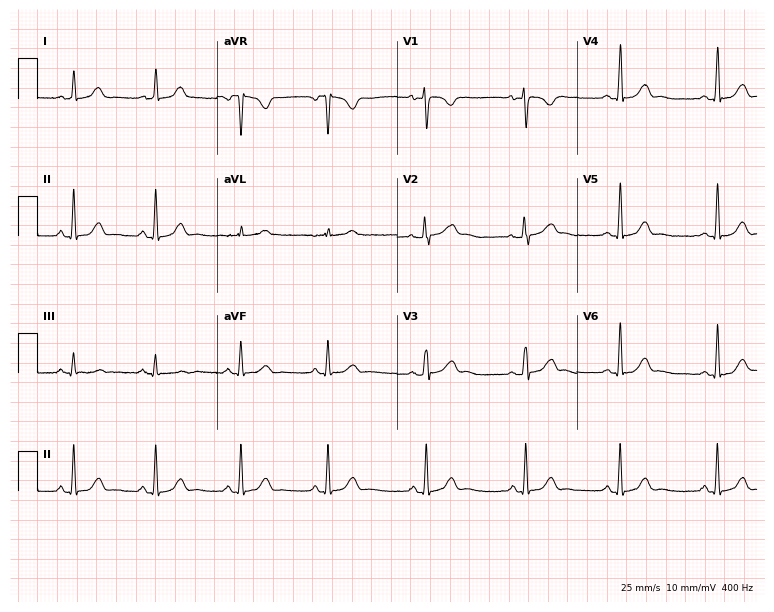
Standard 12-lead ECG recorded from a 30-year-old female. Read as a normal ECG.